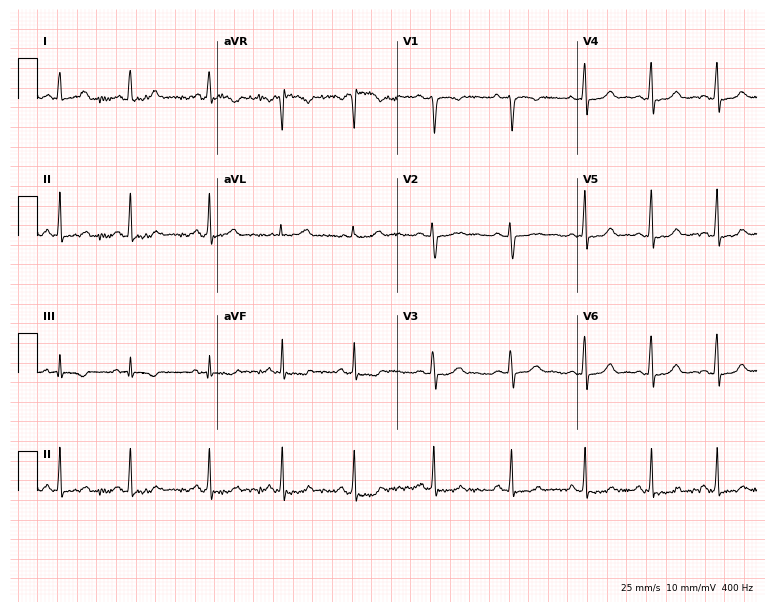
12-lead ECG from a 19-year-old female patient (7.3-second recording at 400 Hz). No first-degree AV block, right bundle branch block, left bundle branch block, sinus bradycardia, atrial fibrillation or sinus tachycardia recorded for this tracing. Only these six findings were labelled.